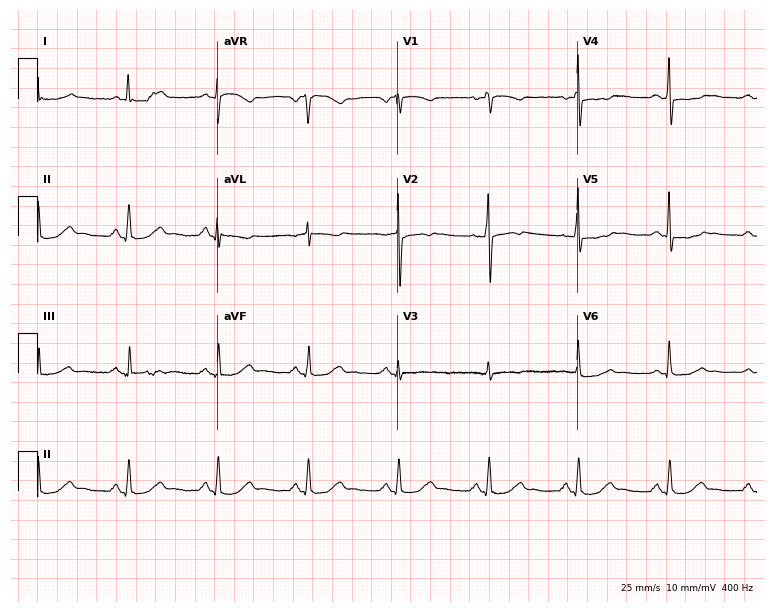
Standard 12-lead ECG recorded from a 60-year-old female patient (7.3-second recording at 400 Hz). None of these six findings is recorded: first-degree AV block, right bundle branch block (RBBB), left bundle branch block (LBBB), sinus bradycardia, atrial fibrillation (AF), sinus tachycardia.